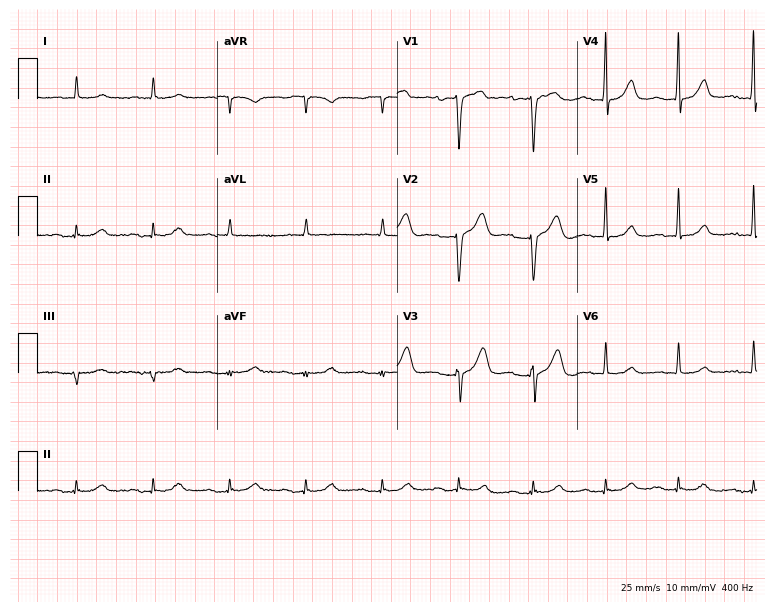
Resting 12-lead electrocardiogram. Patient: a male, 85 years old. Read as a normal ECG.